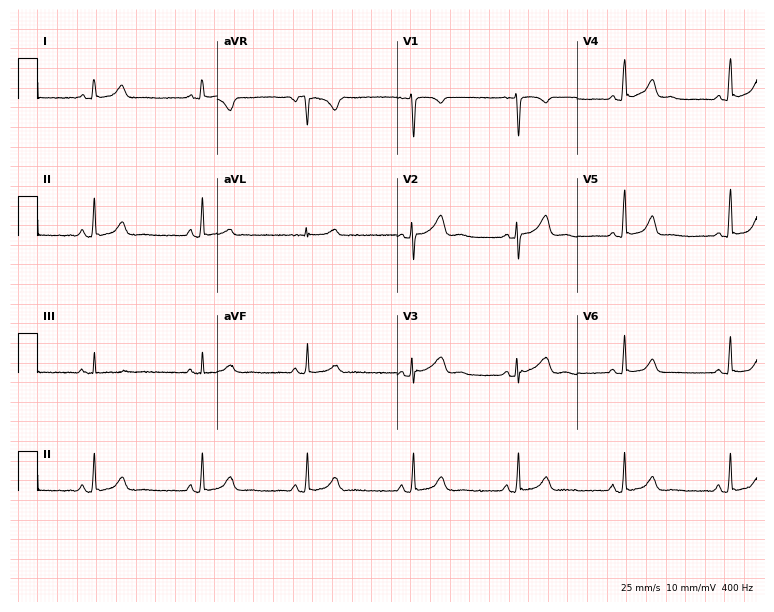
Standard 12-lead ECG recorded from a woman, 34 years old. Read as a normal ECG.